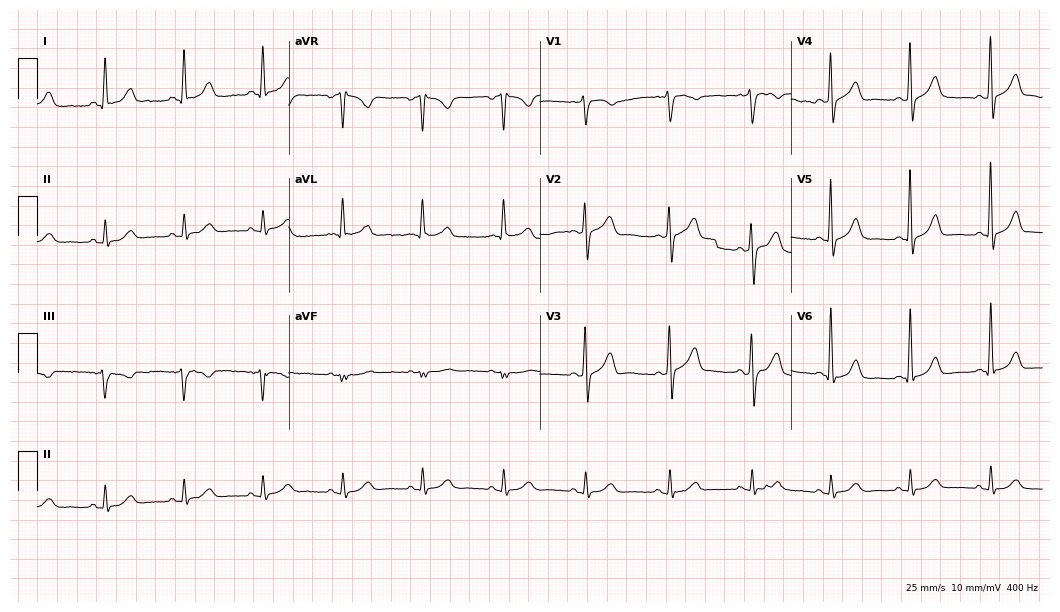
Electrocardiogram, a 47-year-old man. Overall reading on record: normal ECG.